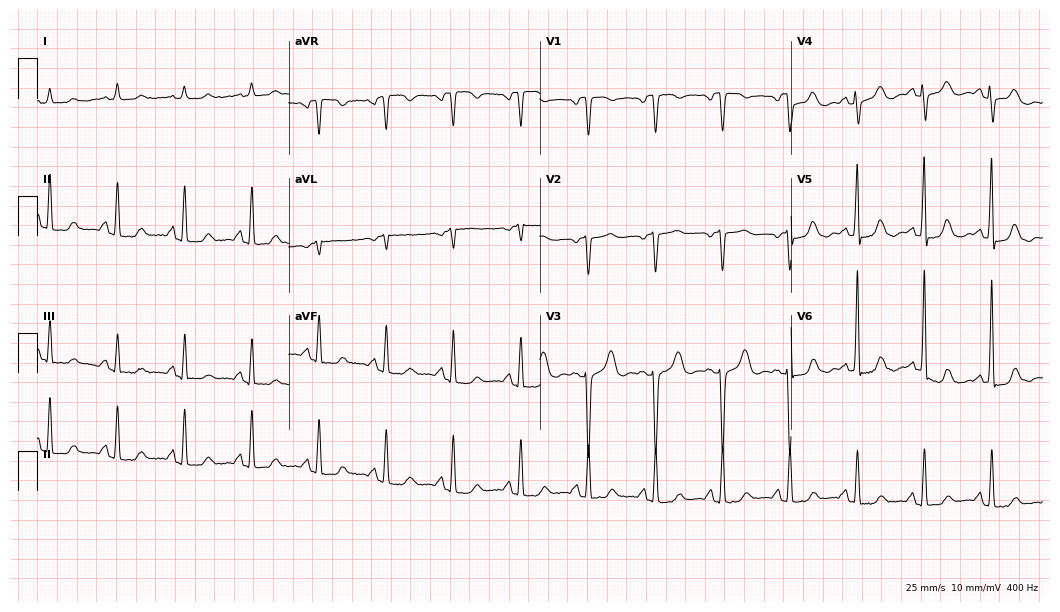
Standard 12-lead ECG recorded from an 84-year-old female patient. Read as a normal ECG.